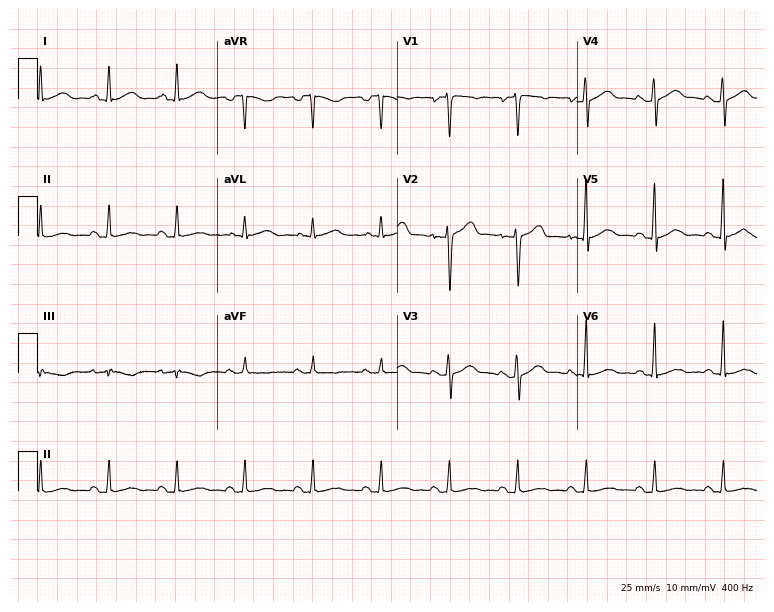
12-lead ECG (7.3-second recording at 400 Hz) from a 53-year-old male. Screened for six findings — first-degree AV block, right bundle branch block, left bundle branch block, sinus bradycardia, atrial fibrillation, sinus tachycardia — none is recorded. Only these six findings were labelled.